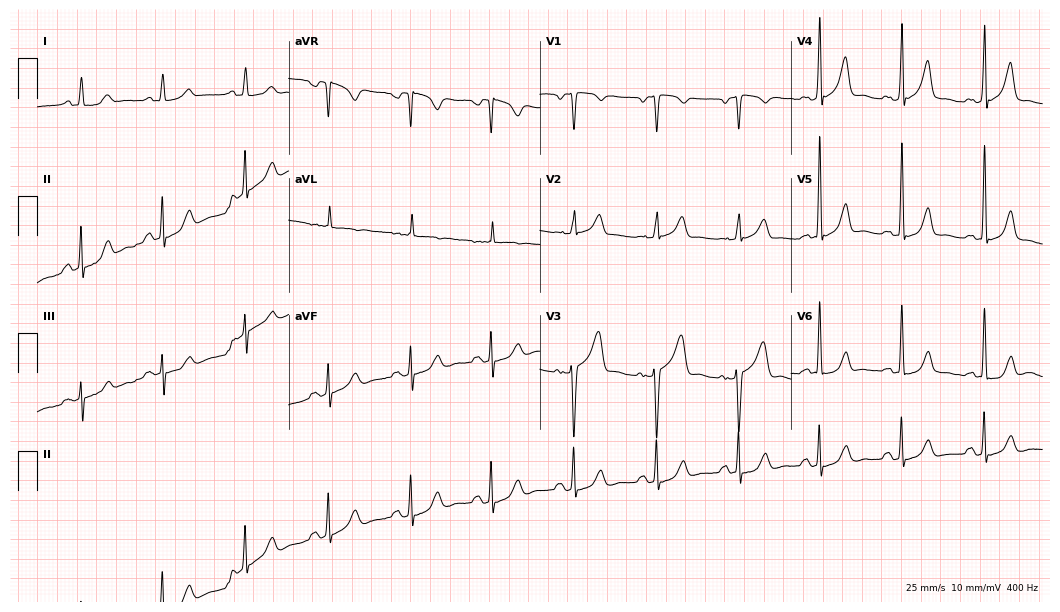
Resting 12-lead electrocardiogram (10.2-second recording at 400 Hz). Patient: a female, 50 years old. None of these six findings is recorded: first-degree AV block, right bundle branch block, left bundle branch block, sinus bradycardia, atrial fibrillation, sinus tachycardia.